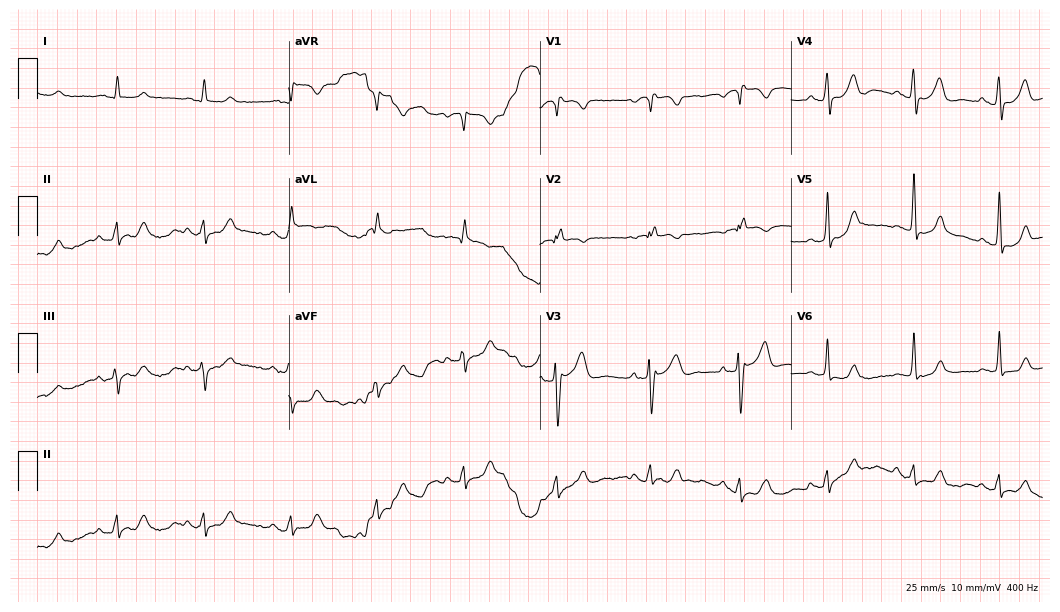
12-lead ECG (10.2-second recording at 400 Hz) from a 78-year-old male patient. Screened for six findings — first-degree AV block, right bundle branch block (RBBB), left bundle branch block (LBBB), sinus bradycardia, atrial fibrillation (AF), sinus tachycardia — none is recorded.